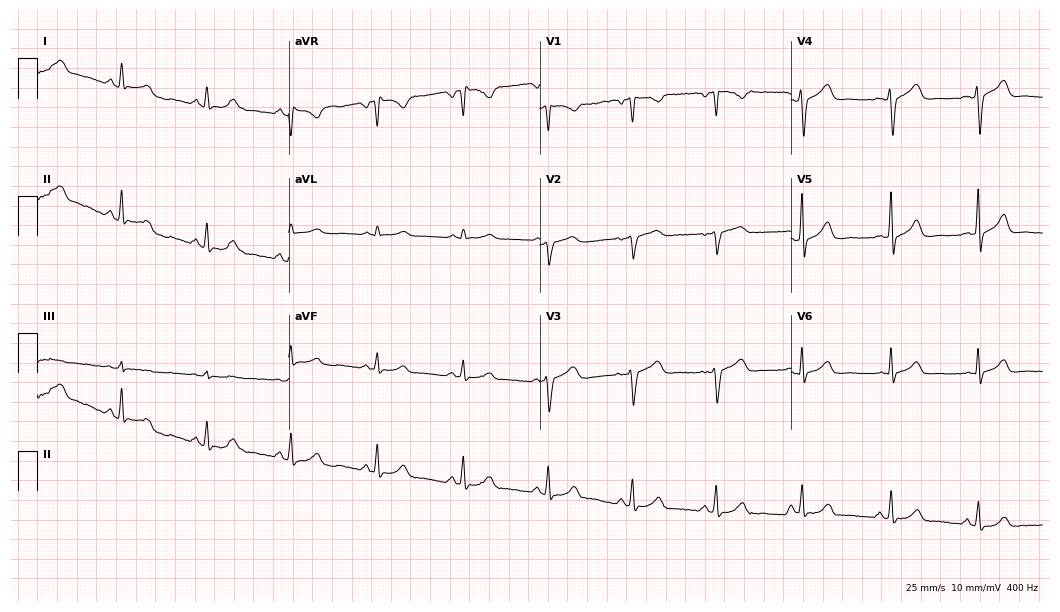
Resting 12-lead electrocardiogram. Patient: a woman, 46 years old. Read as a normal ECG.